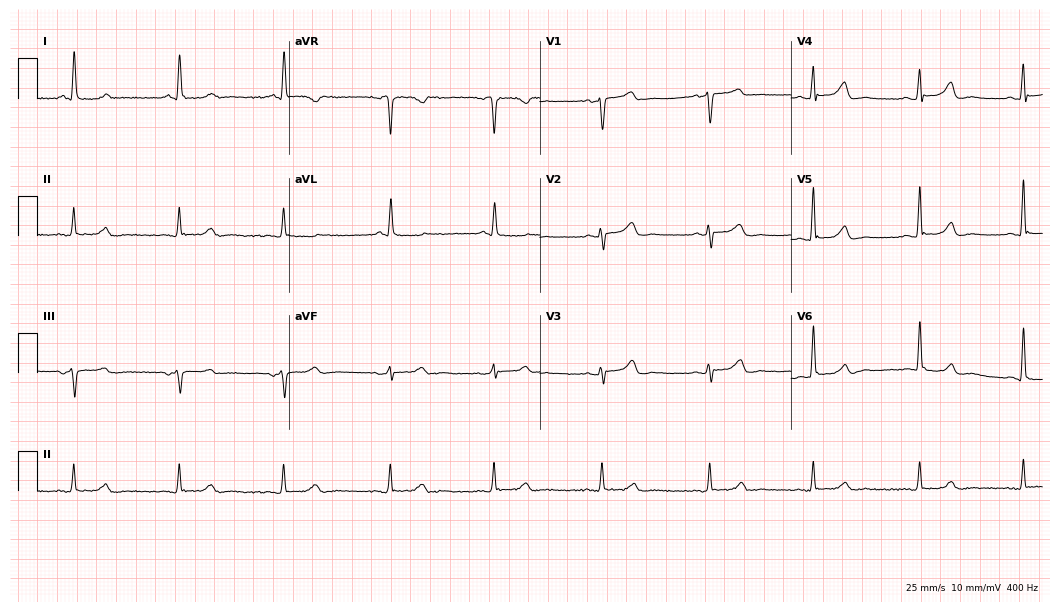
Electrocardiogram (10.2-second recording at 400 Hz), a female patient, 61 years old. Overall reading on record: normal ECG.